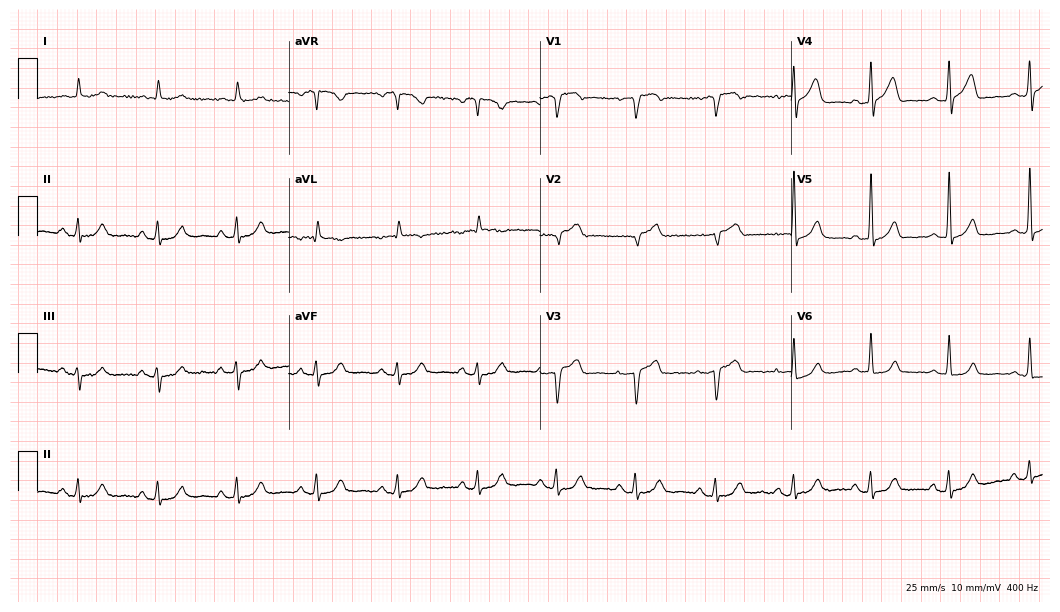
Resting 12-lead electrocardiogram. Patient: a 79-year-old male. None of these six findings is recorded: first-degree AV block, right bundle branch block, left bundle branch block, sinus bradycardia, atrial fibrillation, sinus tachycardia. Other findings, if any, are not listed.